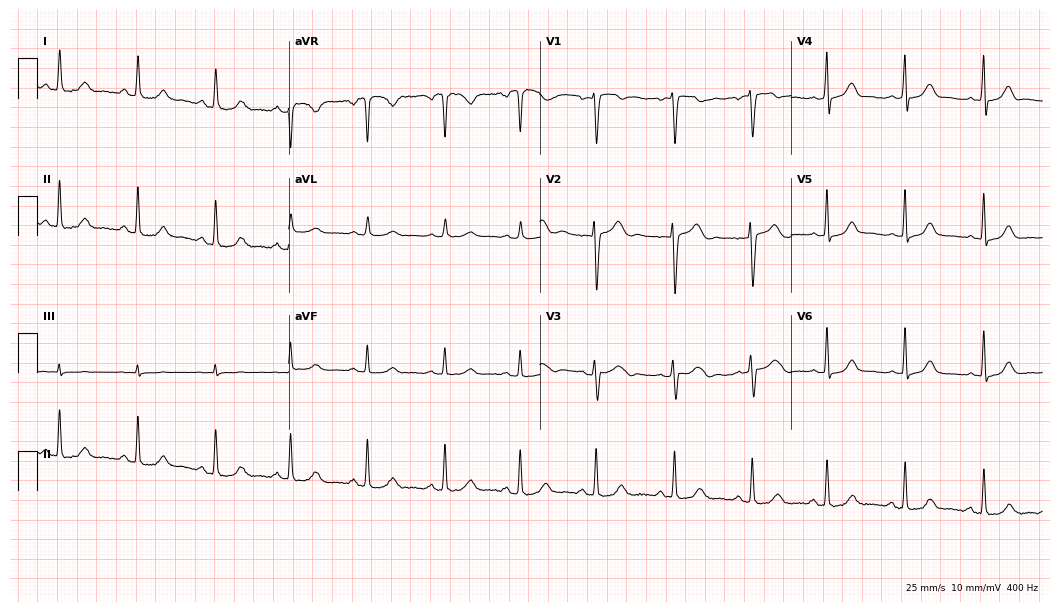
12-lead ECG from a 24-year-old female patient. Recorded interpretation: within normal limits.